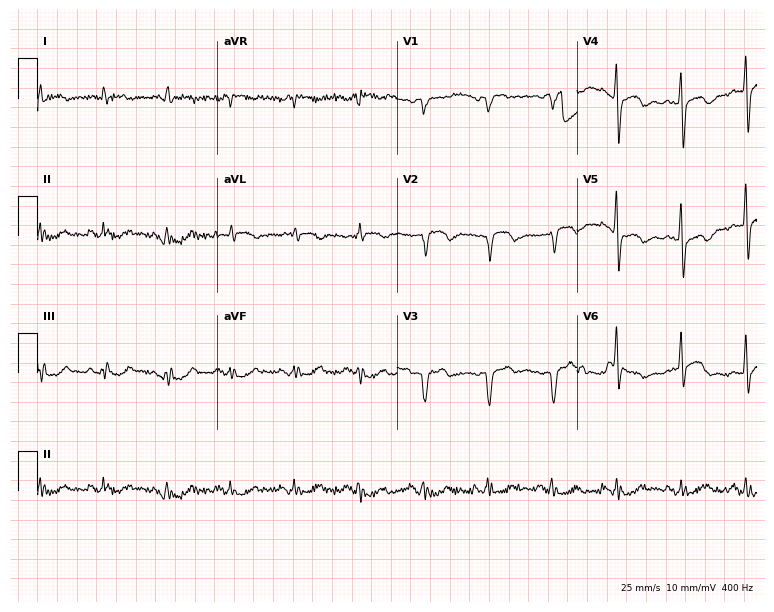
Resting 12-lead electrocardiogram (7.3-second recording at 400 Hz). Patient: a male, 81 years old. None of these six findings is recorded: first-degree AV block, right bundle branch block, left bundle branch block, sinus bradycardia, atrial fibrillation, sinus tachycardia. Only these six findings were labelled.